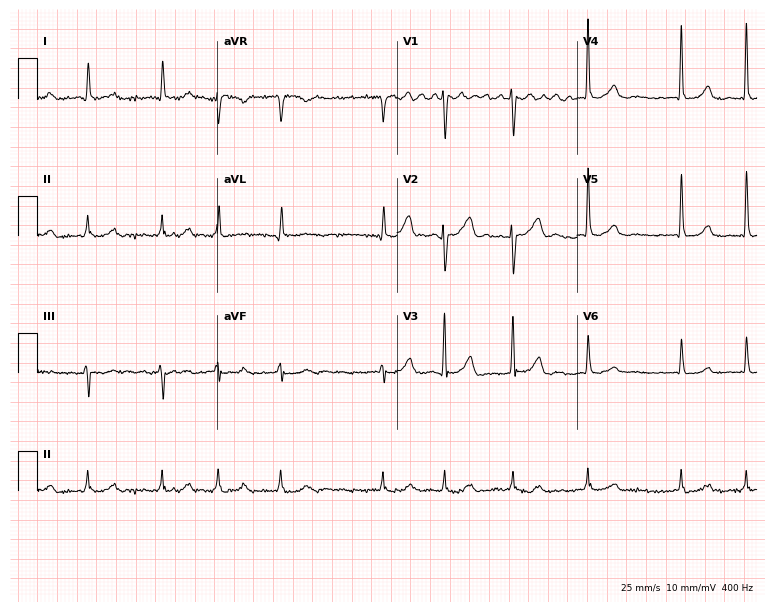
12-lead ECG from an 81-year-old woman. Shows atrial fibrillation.